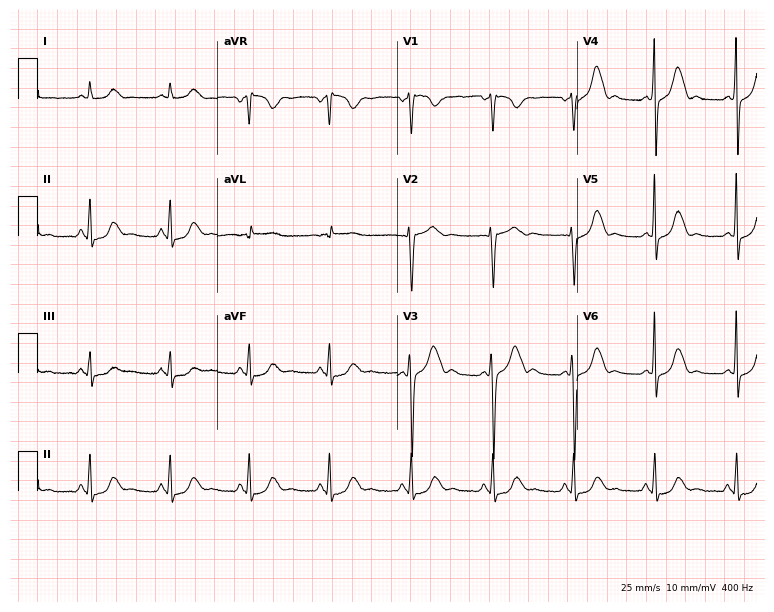
12-lead ECG from a woman, 42 years old. Screened for six findings — first-degree AV block, right bundle branch block, left bundle branch block, sinus bradycardia, atrial fibrillation, sinus tachycardia — none is recorded.